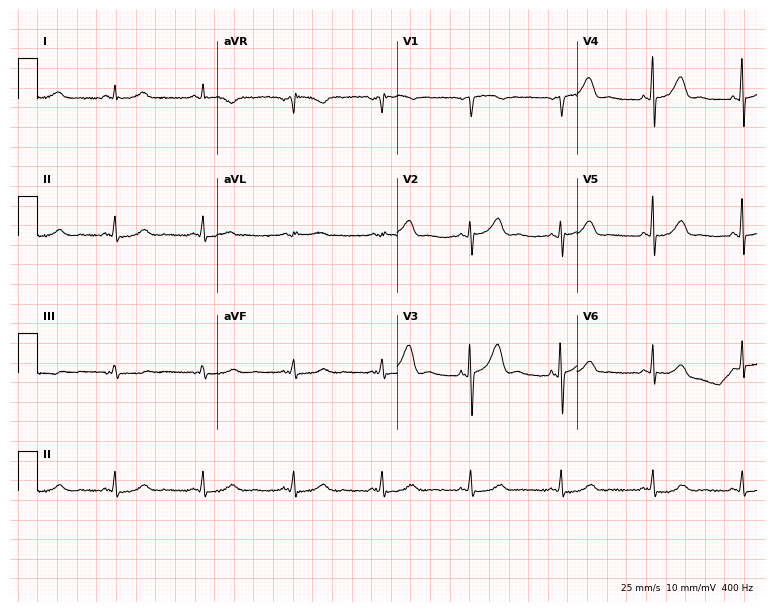
ECG — a female, 42 years old. Labelled as a normal ECG.